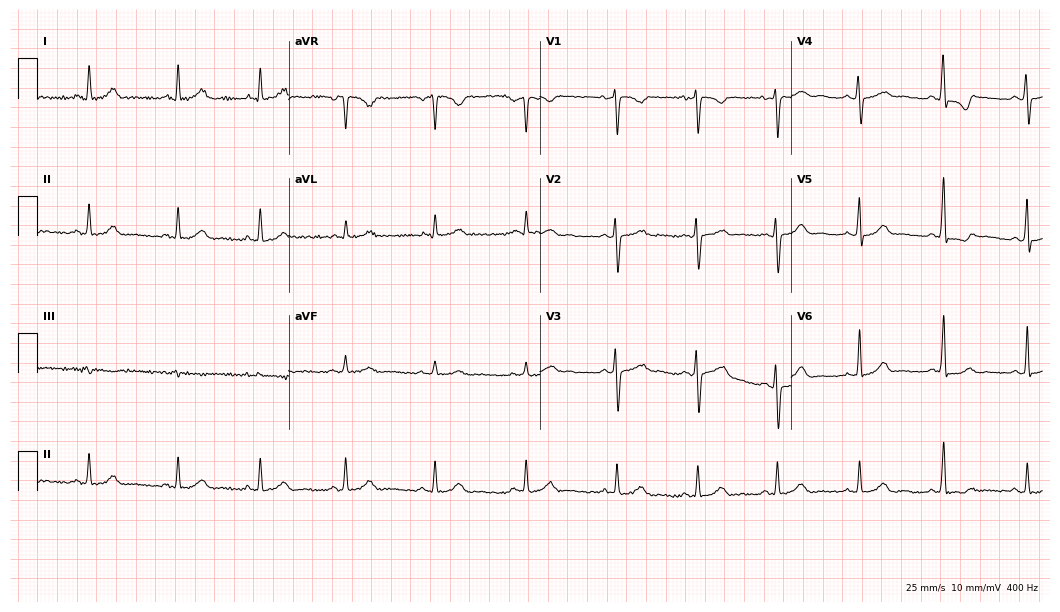
Standard 12-lead ECG recorded from a 28-year-old female. None of these six findings is recorded: first-degree AV block, right bundle branch block, left bundle branch block, sinus bradycardia, atrial fibrillation, sinus tachycardia. Other findings, if any, are not listed.